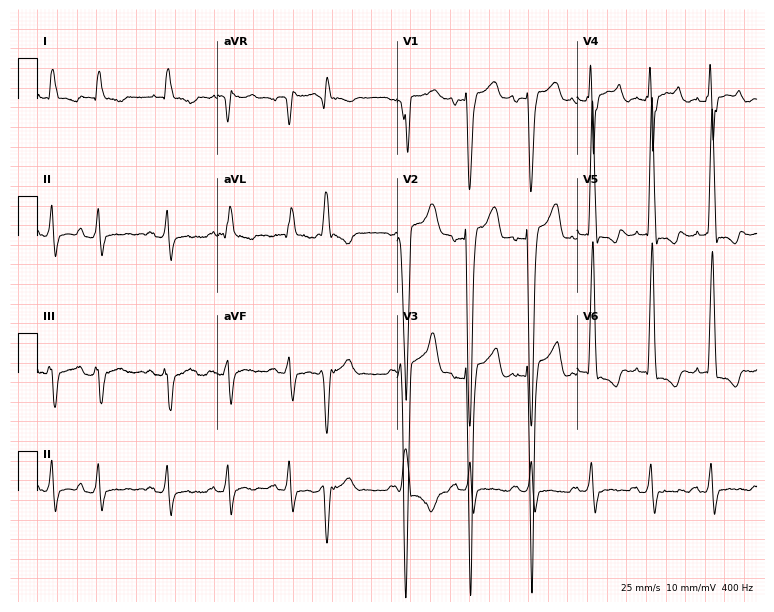
Resting 12-lead electrocardiogram (7.3-second recording at 400 Hz). Patient: a male, 74 years old. The tracing shows left bundle branch block.